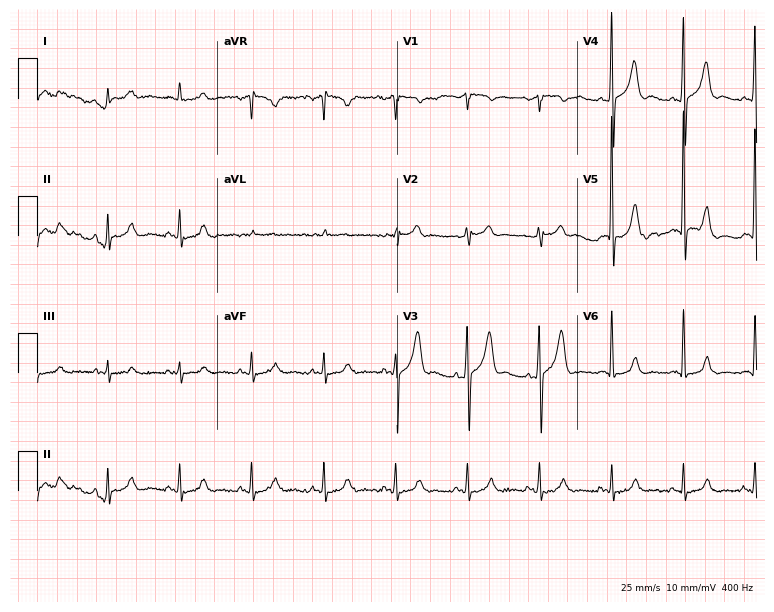
ECG — a 75-year-old man. Screened for six findings — first-degree AV block, right bundle branch block, left bundle branch block, sinus bradycardia, atrial fibrillation, sinus tachycardia — none is recorded.